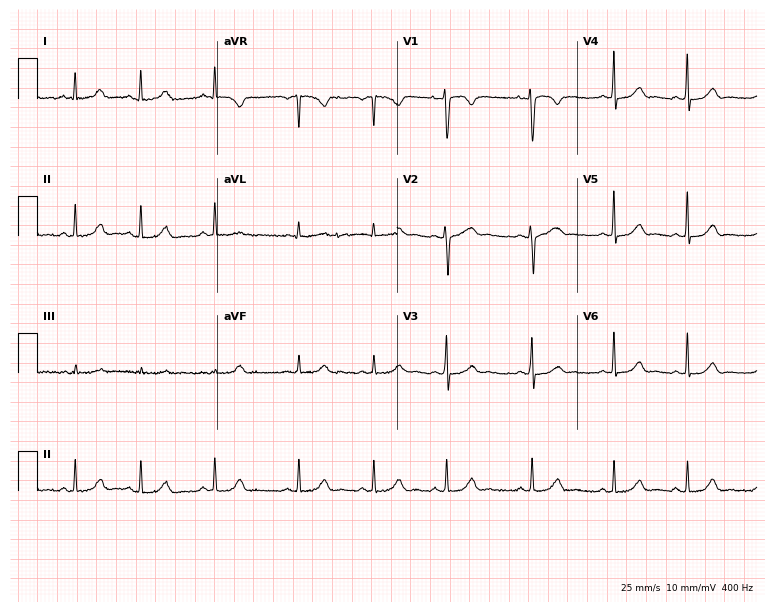
ECG (7.3-second recording at 400 Hz) — a woman, 26 years old. Screened for six findings — first-degree AV block, right bundle branch block (RBBB), left bundle branch block (LBBB), sinus bradycardia, atrial fibrillation (AF), sinus tachycardia — none is recorded. Only these six findings were labelled.